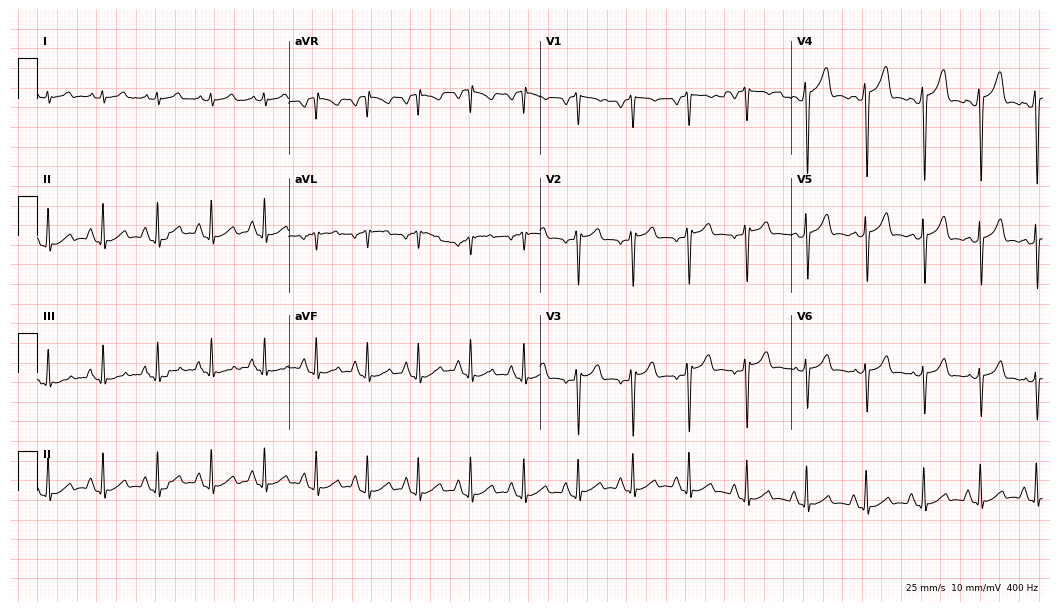
12-lead ECG (10.2-second recording at 400 Hz) from a 25-year-old male patient. Findings include sinus tachycardia (a sinus rate of 100 beats per minute or more).